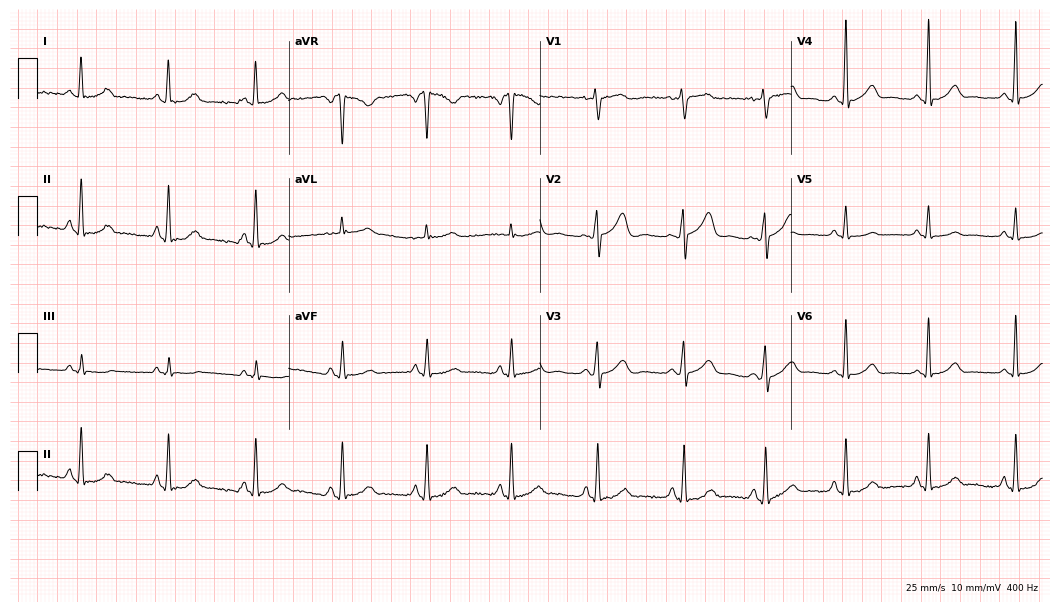
Resting 12-lead electrocardiogram. Patient: a 31-year-old female. Read as a normal ECG.